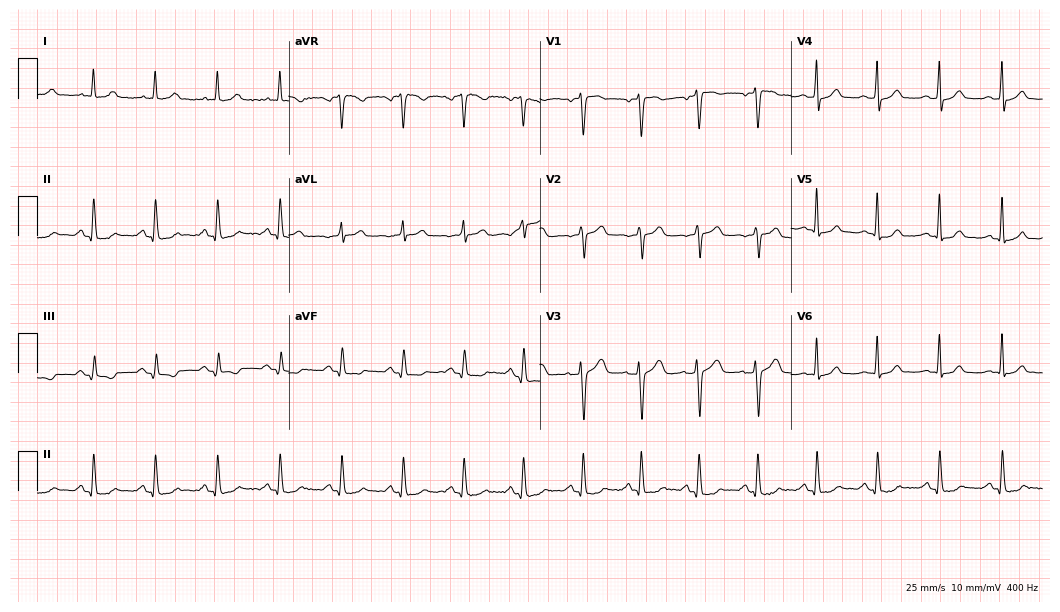
Resting 12-lead electrocardiogram. Patient: a woman, 38 years old. Read as a normal ECG.